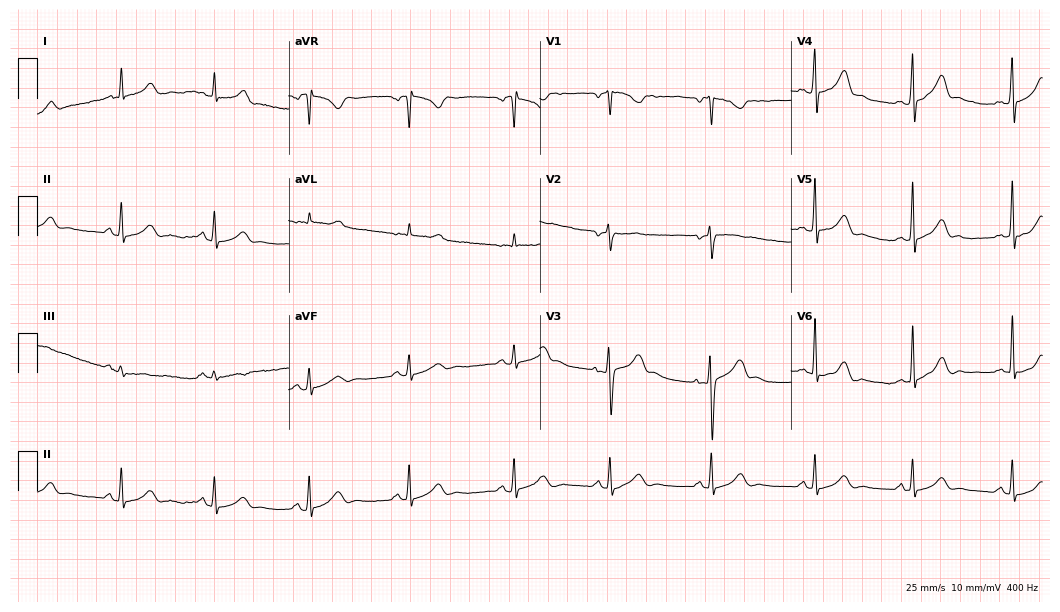
12-lead ECG from a female, 30 years old. No first-degree AV block, right bundle branch block (RBBB), left bundle branch block (LBBB), sinus bradycardia, atrial fibrillation (AF) or sinus tachycardia recorded for this tracing.